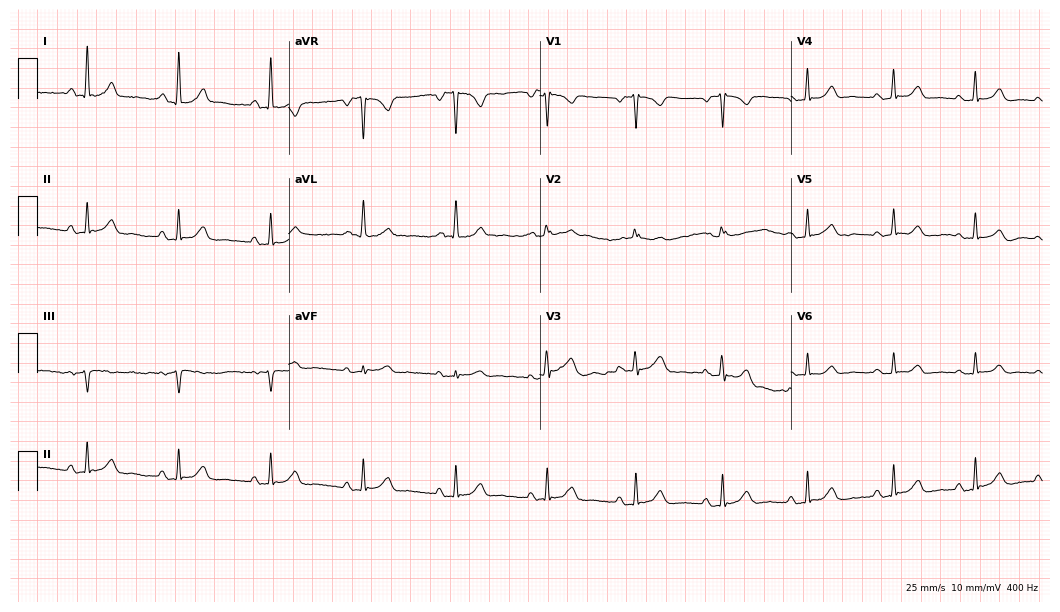
12-lead ECG from a female, 60 years old. Recorded interpretation: within normal limits.